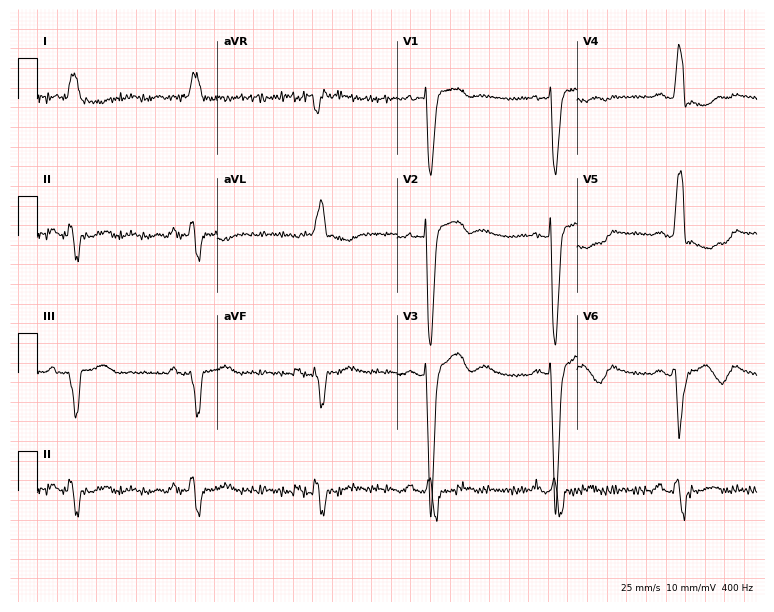
12-lead ECG from a female patient, 85 years old. No first-degree AV block, right bundle branch block, left bundle branch block, sinus bradycardia, atrial fibrillation or sinus tachycardia recorded for this tracing. Findings outside these six are not listed.